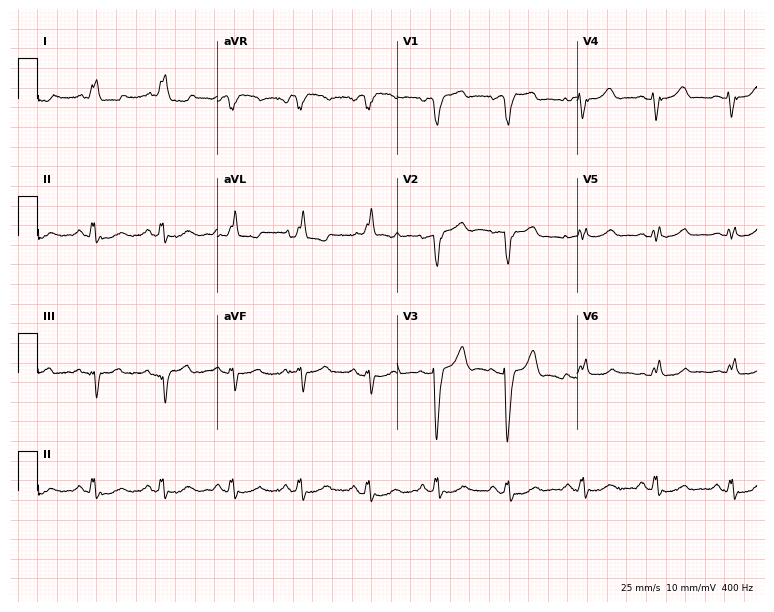
12-lead ECG from a female patient, 72 years old. Shows left bundle branch block (LBBB).